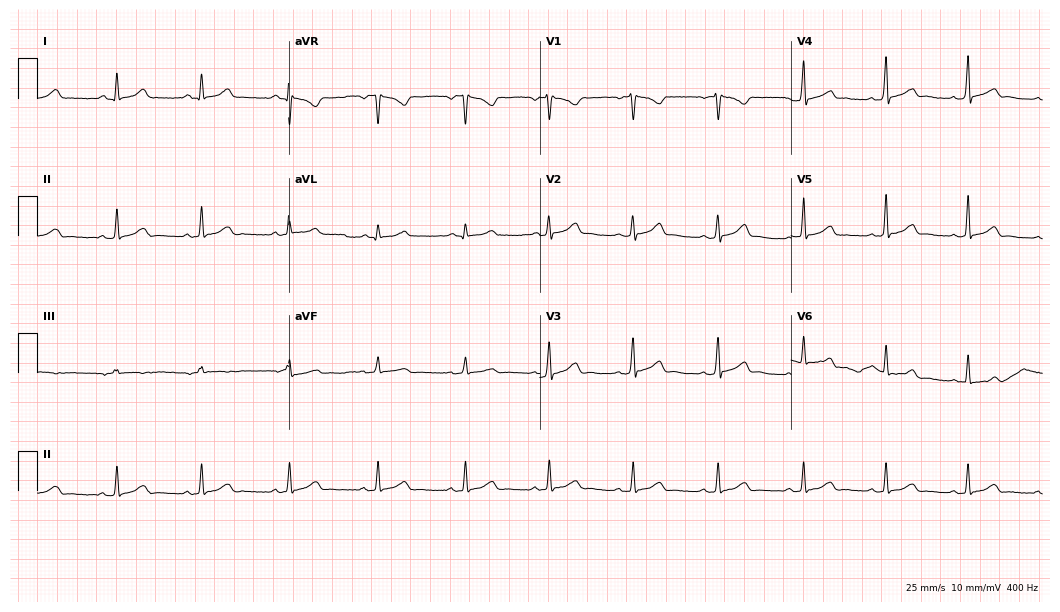
Standard 12-lead ECG recorded from a woman, 26 years old (10.2-second recording at 400 Hz). Read as a normal ECG.